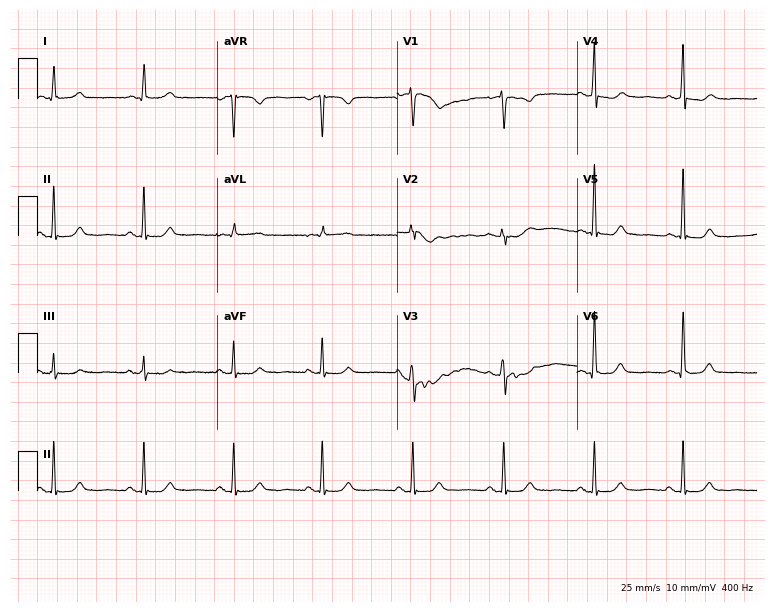
Resting 12-lead electrocardiogram (7.3-second recording at 400 Hz). Patient: a 50-year-old female. None of these six findings is recorded: first-degree AV block, right bundle branch block, left bundle branch block, sinus bradycardia, atrial fibrillation, sinus tachycardia. Other findings, if any, are not listed.